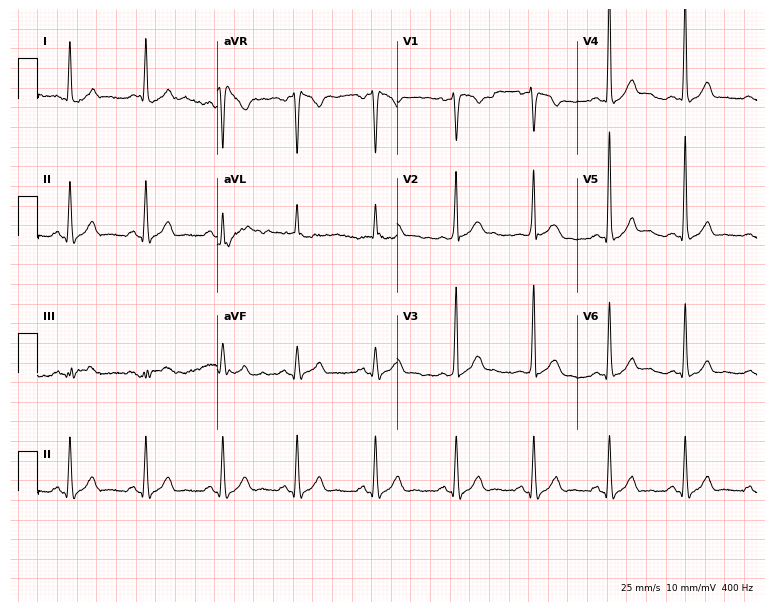
12-lead ECG from a 51-year-old male patient. Labelled as a normal ECG.